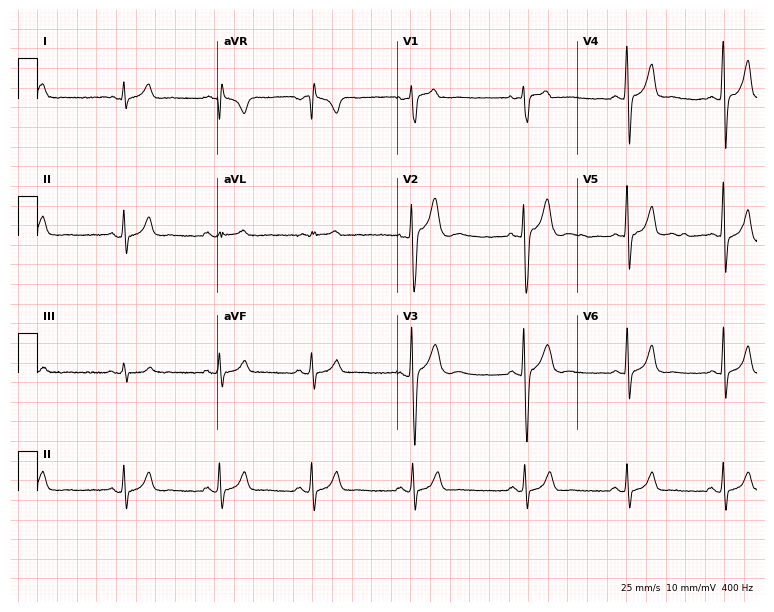
Electrocardiogram, a 20-year-old male patient. Overall reading on record: normal ECG.